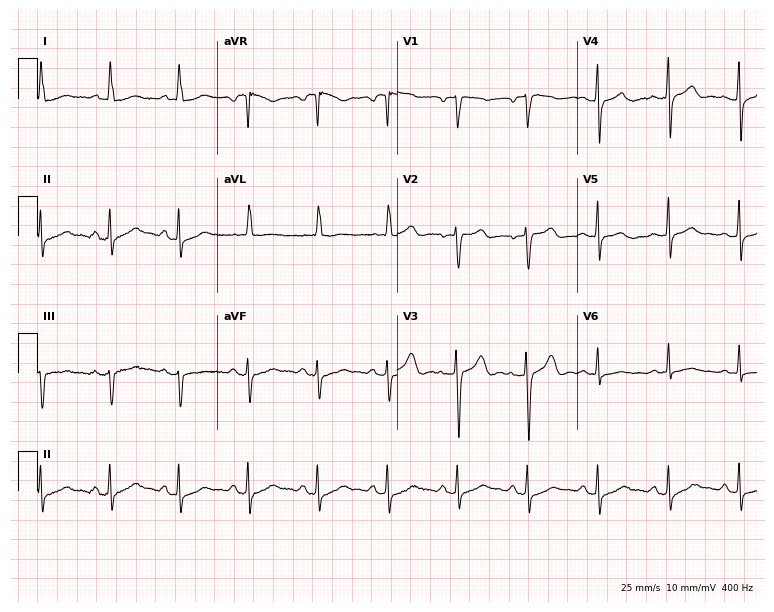
12-lead ECG from a woman, 61 years old. Screened for six findings — first-degree AV block, right bundle branch block (RBBB), left bundle branch block (LBBB), sinus bradycardia, atrial fibrillation (AF), sinus tachycardia — none is recorded.